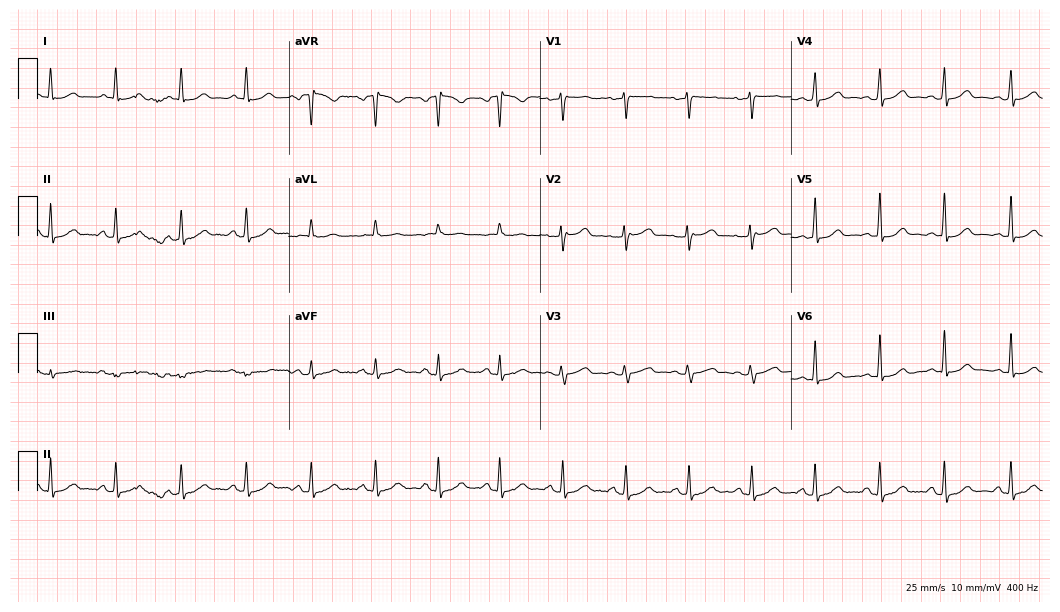
ECG — a 33-year-old woman. Labelled as a normal ECG.